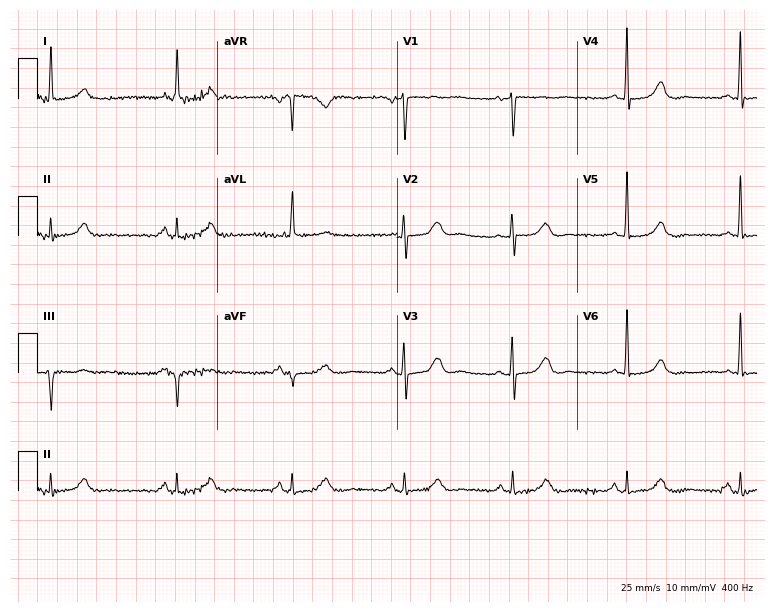
Resting 12-lead electrocardiogram (7.3-second recording at 400 Hz). Patient: a female, 85 years old. Read as a normal ECG.